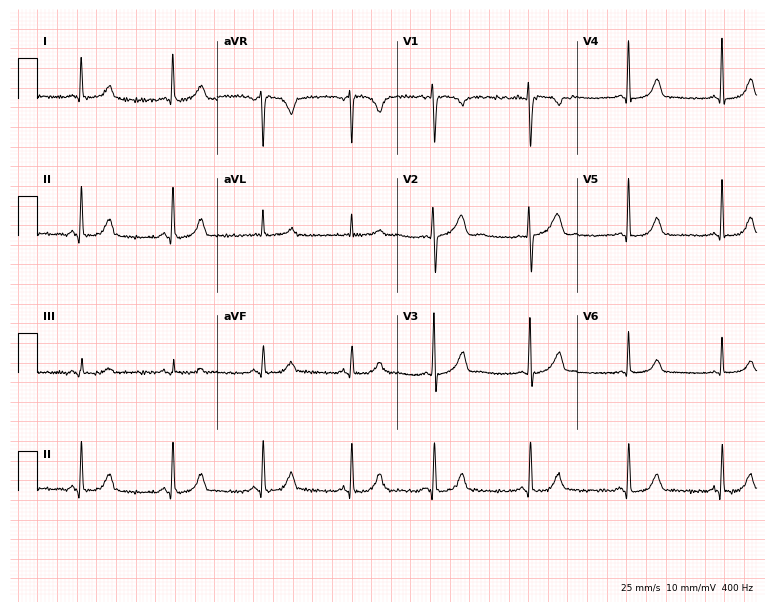
ECG — a female patient, 31 years old. Labelled as a normal ECG.